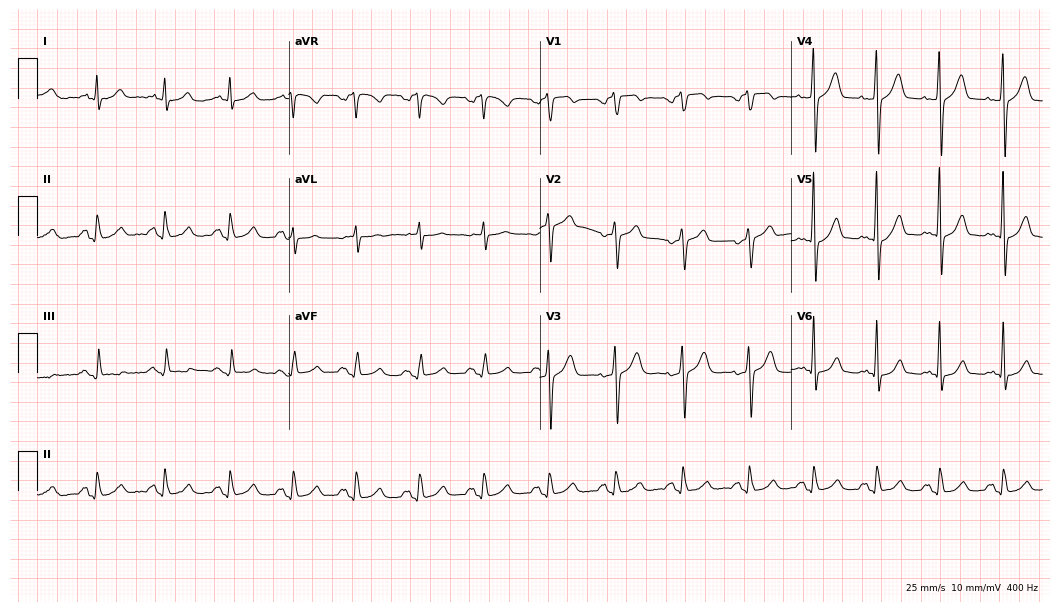
ECG — a male, 73 years old. Screened for six findings — first-degree AV block, right bundle branch block (RBBB), left bundle branch block (LBBB), sinus bradycardia, atrial fibrillation (AF), sinus tachycardia — none is recorded. Other findings, if any, are not listed.